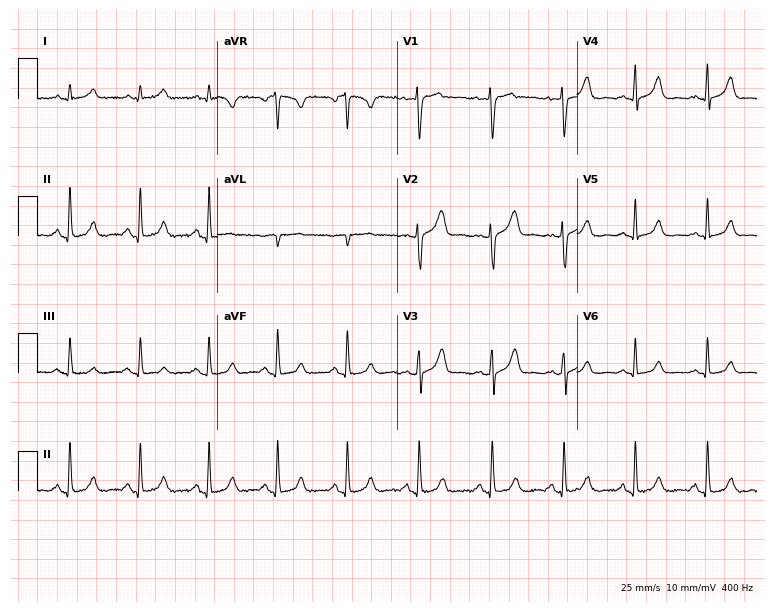
12-lead ECG (7.3-second recording at 400 Hz) from a woman, 38 years old. Labelled as a normal ECG.